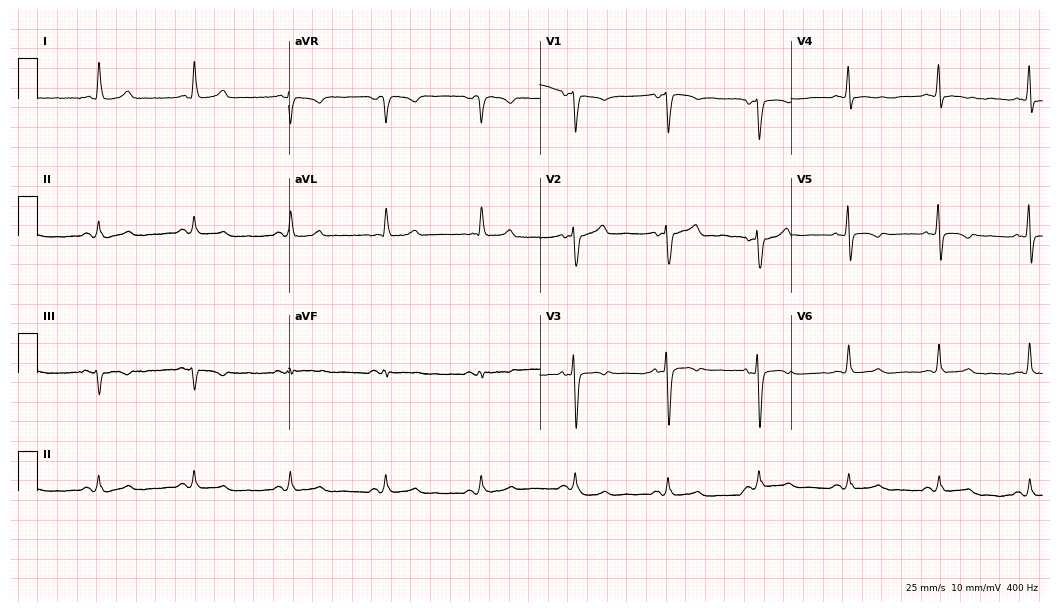
ECG (10.2-second recording at 400 Hz) — a 65-year-old male patient. Screened for six findings — first-degree AV block, right bundle branch block (RBBB), left bundle branch block (LBBB), sinus bradycardia, atrial fibrillation (AF), sinus tachycardia — none is recorded.